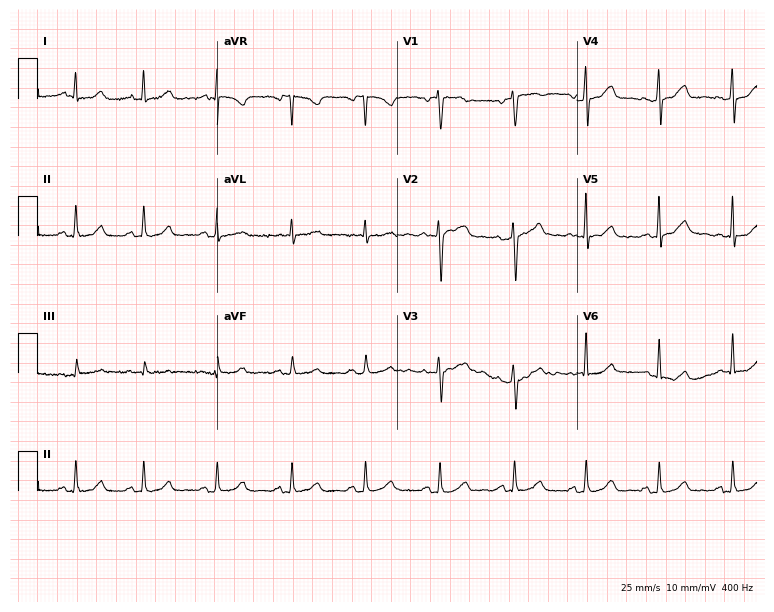
Resting 12-lead electrocardiogram. Patient: a 40-year-old female. None of these six findings is recorded: first-degree AV block, right bundle branch block, left bundle branch block, sinus bradycardia, atrial fibrillation, sinus tachycardia. Other findings, if any, are not listed.